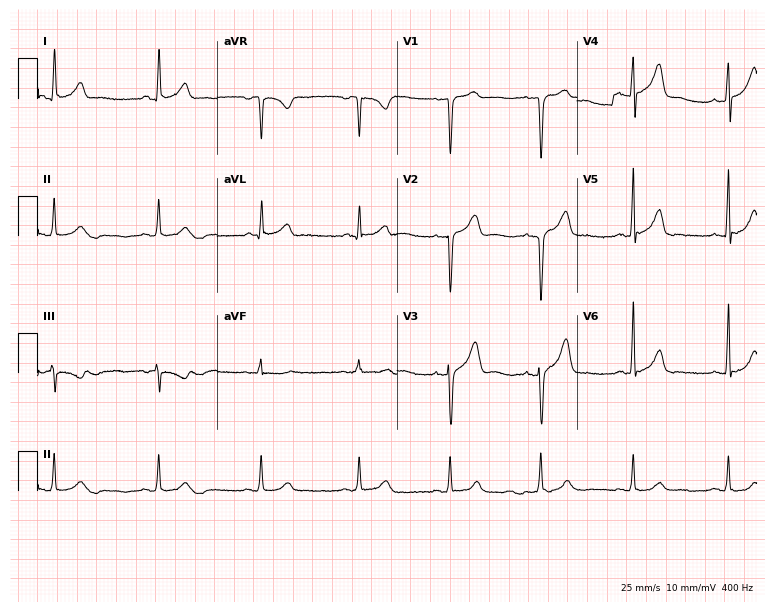
Standard 12-lead ECG recorded from a male, 52 years old (7.3-second recording at 400 Hz). Read as a normal ECG.